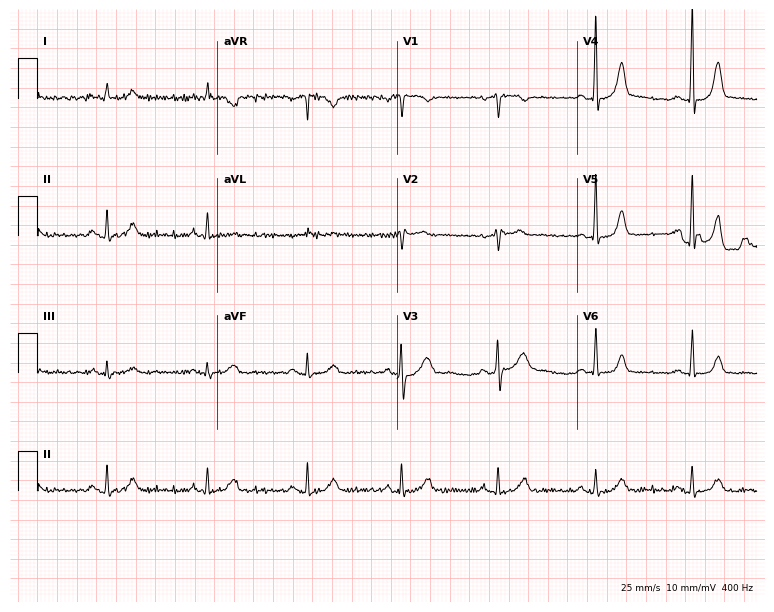
12-lead ECG from a 46-year-old woman. No first-degree AV block, right bundle branch block, left bundle branch block, sinus bradycardia, atrial fibrillation or sinus tachycardia recorded for this tracing.